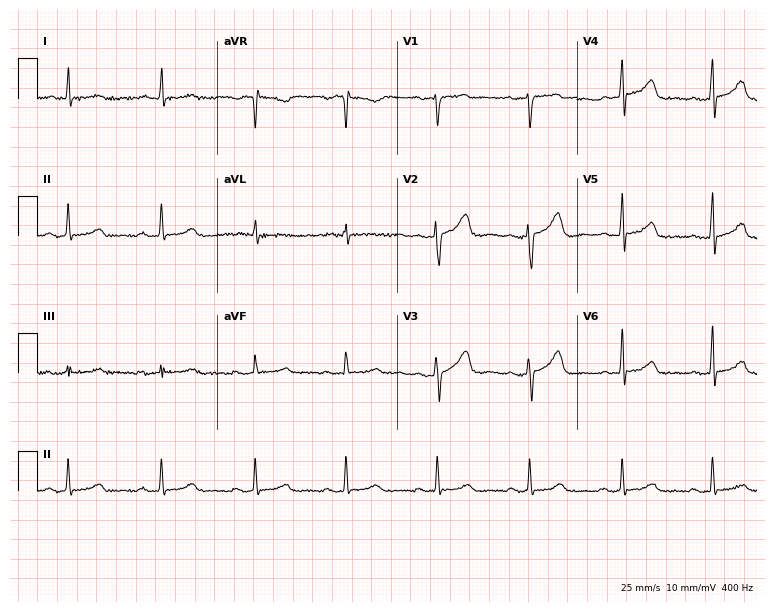
12-lead ECG from a female, 45 years old. Recorded interpretation: within normal limits.